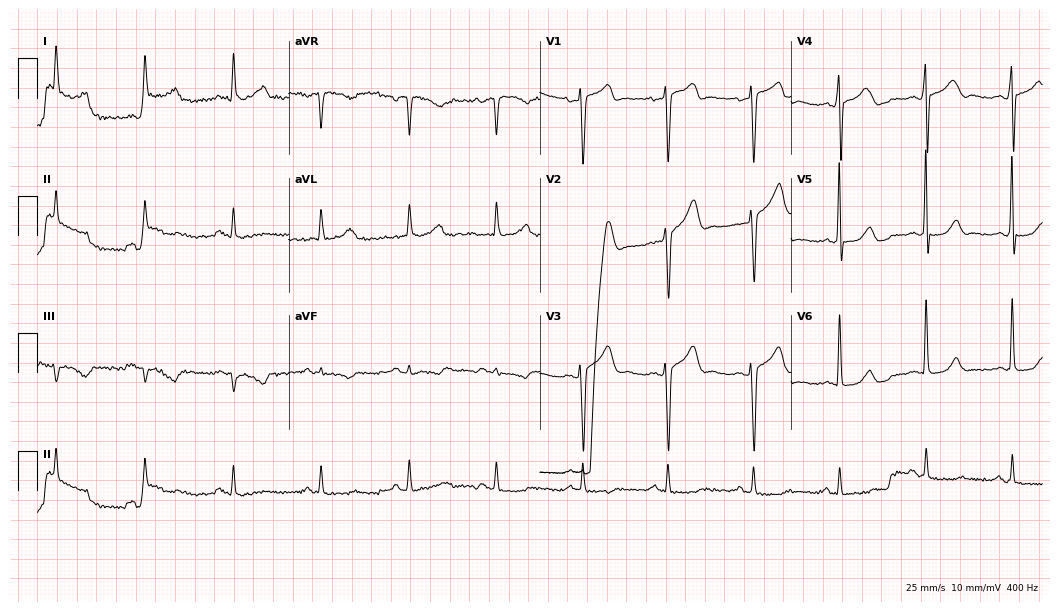
12-lead ECG from a man, 83 years old. No first-degree AV block, right bundle branch block, left bundle branch block, sinus bradycardia, atrial fibrillation or sinus tachycardia recorded for this tracing. Only these six findings were labelled.